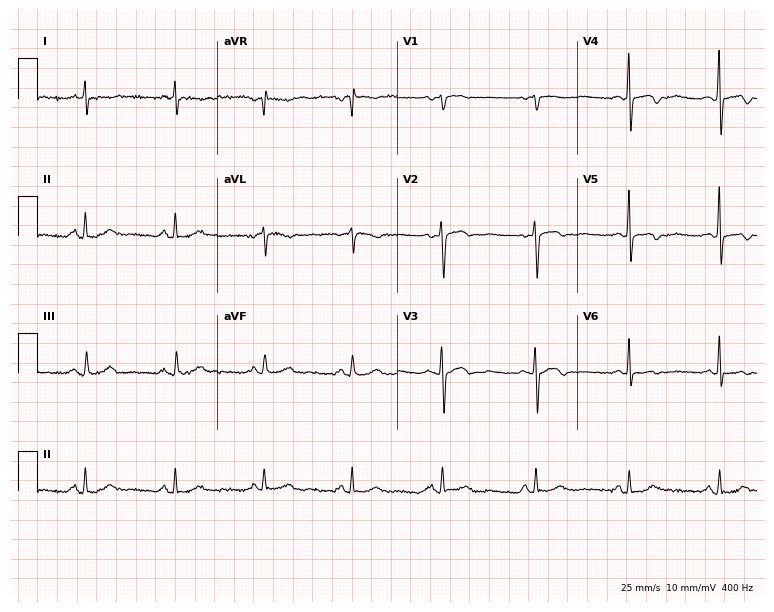
Resting 12-lead electrocardiogram (7.3-second recording at 400 Hz). Patient: a female, 60 years old. None of these six findings is recorded: first-degree AV block, right bundle branch block, left bundle branch block, sinus bradycardia, atrial fibrillation, sinus tachycardia. Findings outside these six are not listed.